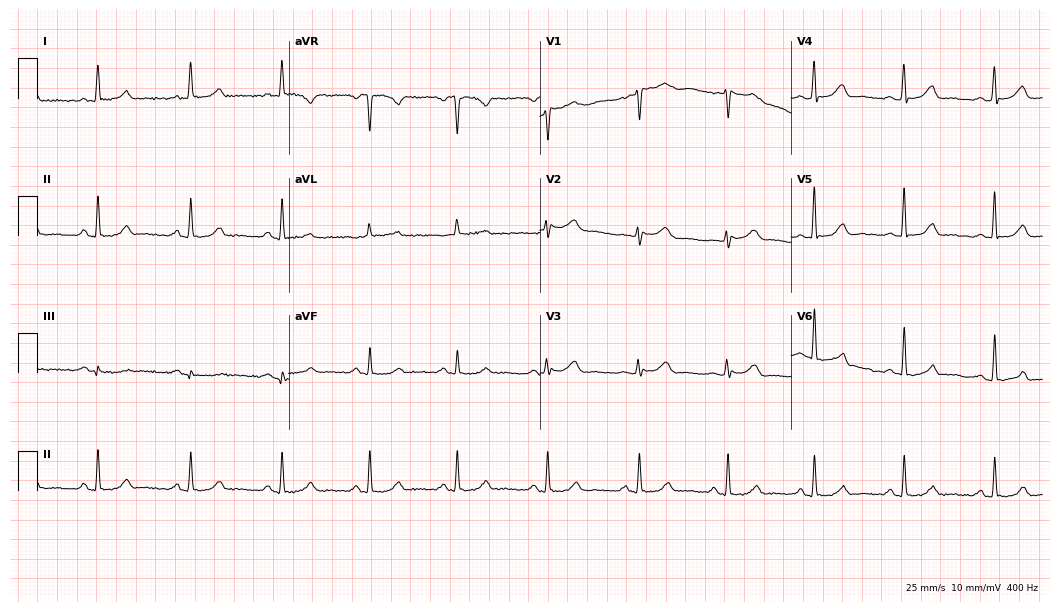
Electrocardiogram, a 46-year-old female. Of the six screened findings (first-degree AV block, right bundle branch block (RBBB), left bundle branch block (LBBB), sinus bradycardia, atrial fibrillation (AF), sinus tachycardia), none is recorded. Findings outside these six are not listed.